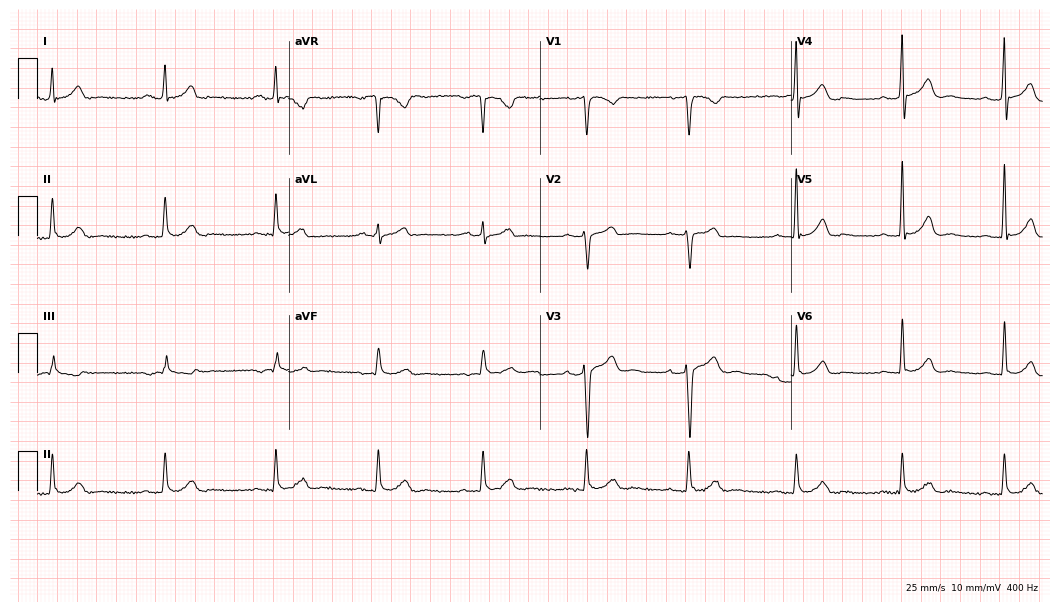
Standard 12-lead ECG recorded from a man, 40 years old (10.2-second recording at 400 Hz). Read as a normal ECG.